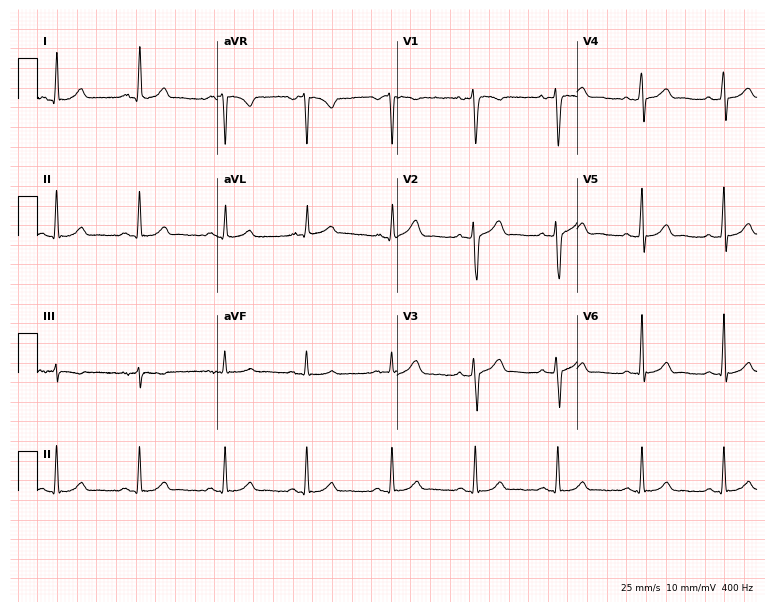
Electrocardiogram (7.3-second recording at 400 Hz), a 25-year-old male patient. Overall reading on record: normal ECG.